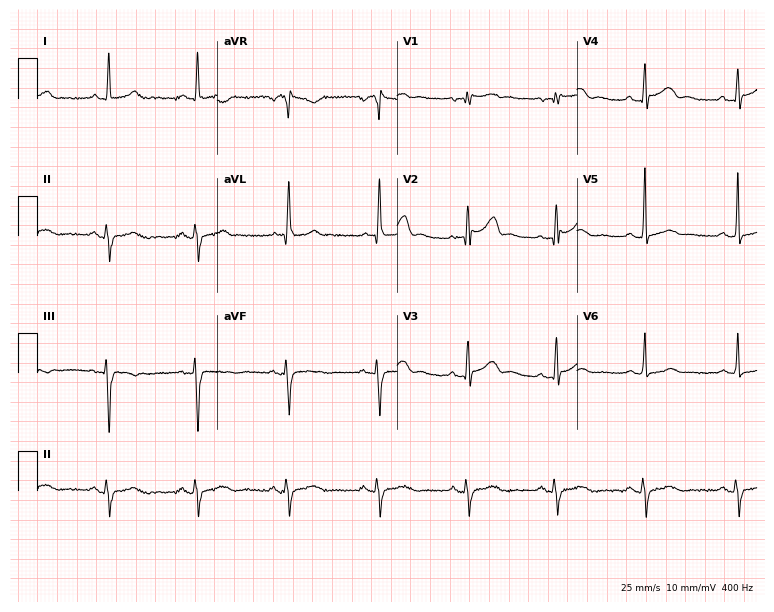
Standard 12-lead ECG recorded from a 55-year-old male. None of these six findings is recorded: first-degree AV block, right bundle branch block (RBBB), left bundle branch block (LBBB), sinus bradycardia, atrial fibrillation (AF), sinus tachycardia.